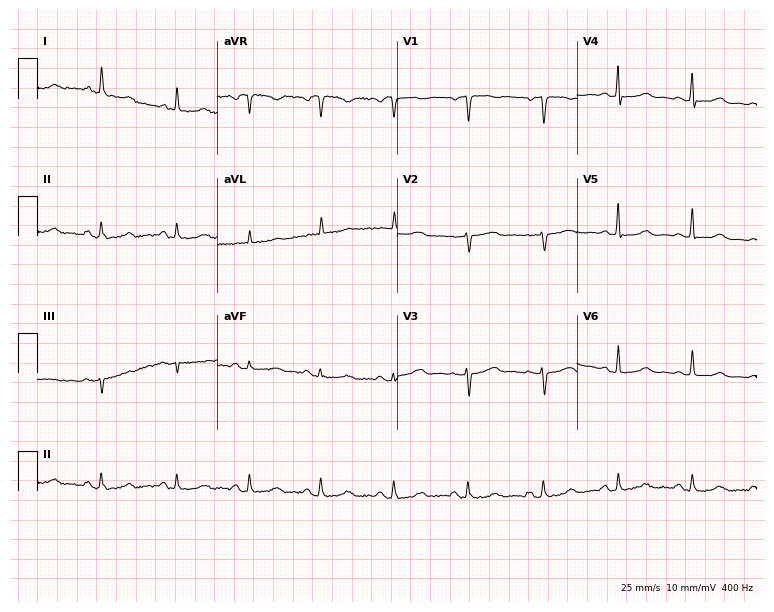
Standard 12-lead ECG recorded from a 56-year-old woman (7.3-second recording at 400 Hz). None of these six findings is recorded: first-degree AV block, right bundle branch block (RBBB), left bundle branch block (LBBB), sinus bradycardia, atrial fibrillation (AF), sinus tachycardia. Findings outside these six are not listed.